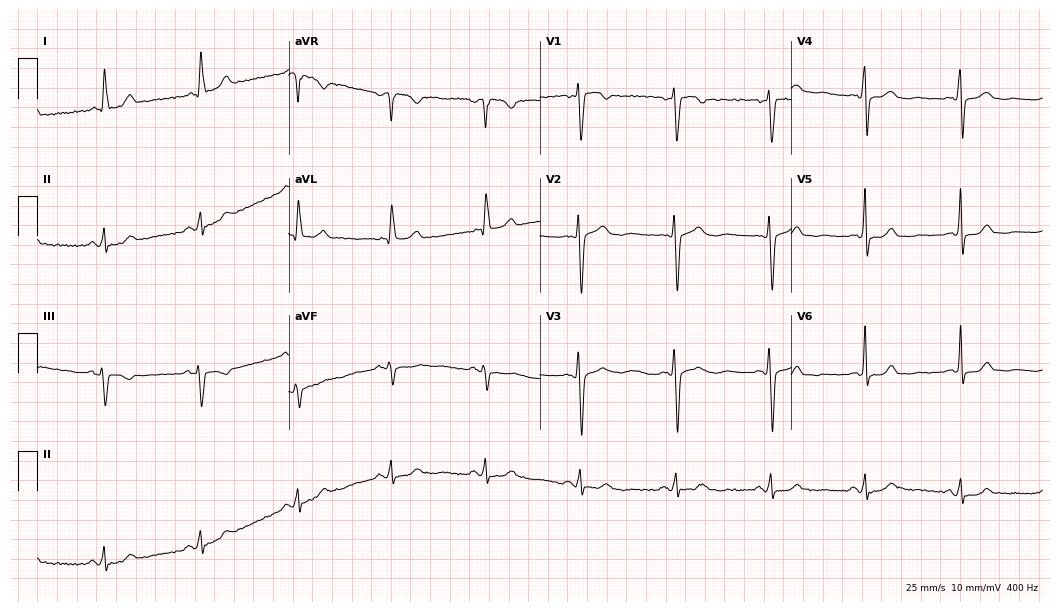
12-lead ECG (10.2-second recording at 400 Hz) from a 66-year-old female patient. Labelled as a normal ECG.